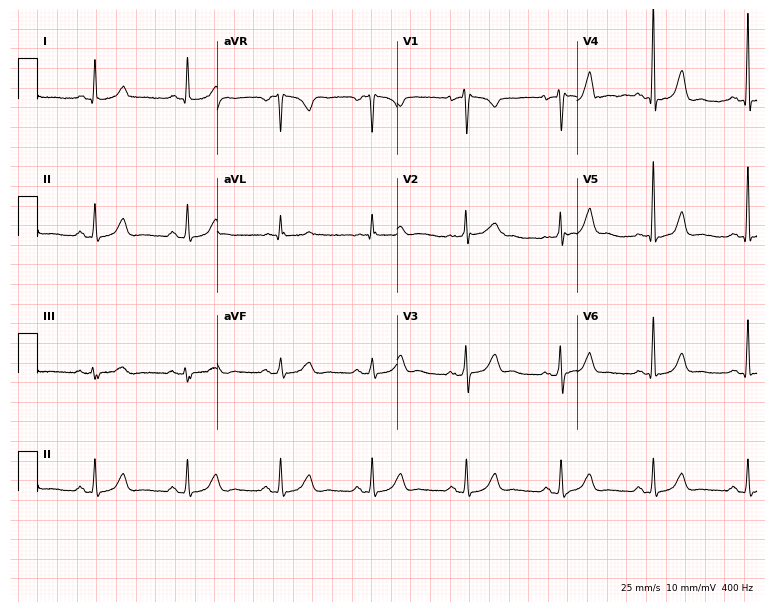
12-lead ECG from a female, 55 years old. Recorded interpretation: within normal limits.